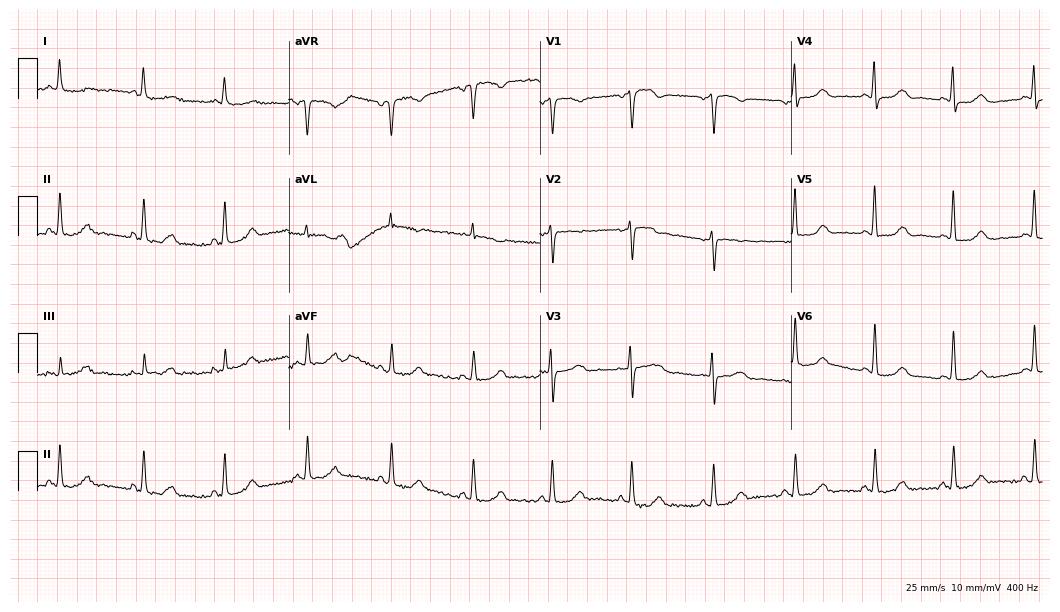
Standard 12-lead ECG recorded from a 64-year-old female patient. Read as a normal ECG.